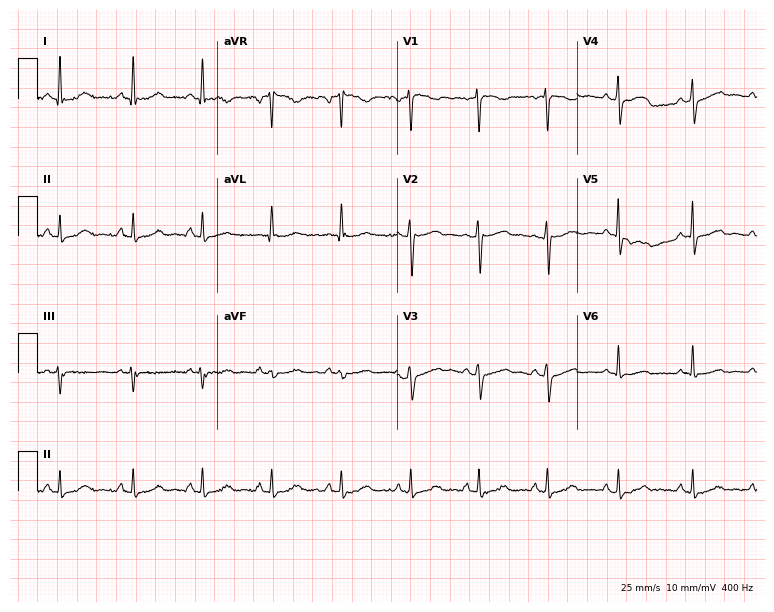
12-lead ECG from a 52-year-old woman (7.3-second recording at 400 Hz). Recorded interpretation: within normal limits.